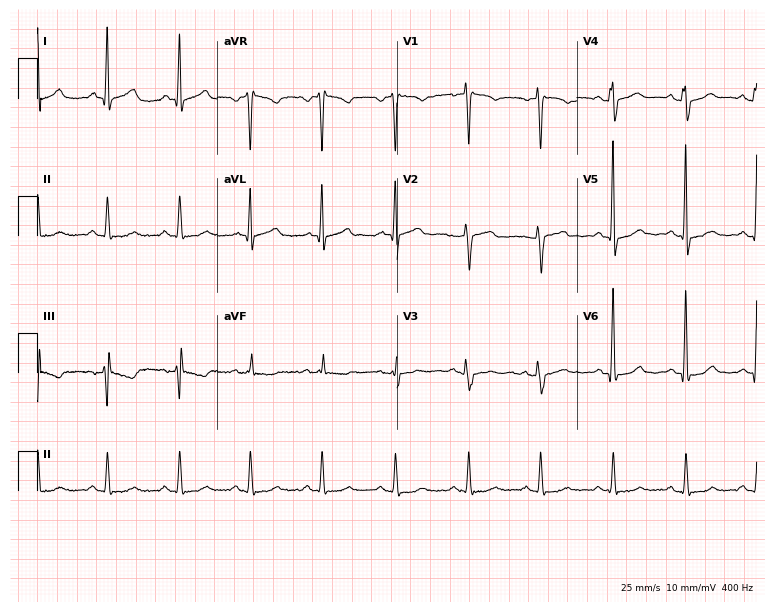
12-lead ECG (7.3-second recording at 400 Hz) from a 43-year-old man. Labelled as a normal ECG.